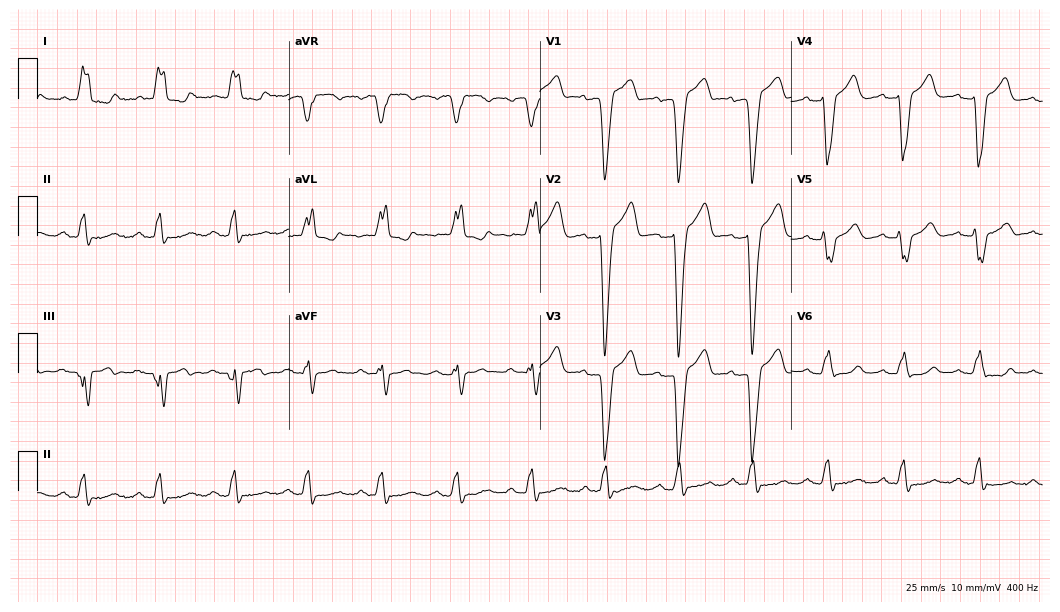
12-lead ECG from a woman, 66 years old (10.2-second recording at 400 Hz). No first-degree AV block, right bundle branch block (RBBB), left bundle branch block (LBBB), sinus bradycardia, atrial fibrillation (AF) or sinus tachycardia recorded for this tracing.